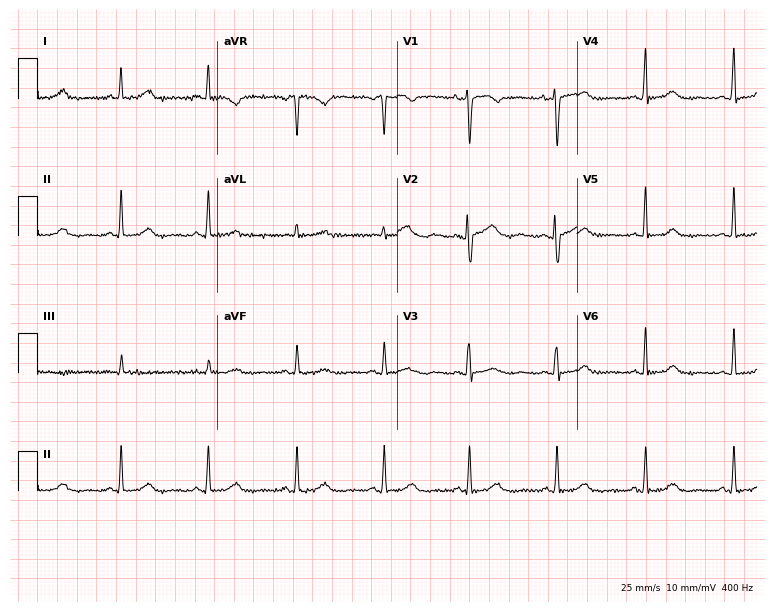
ECG (7.3-second recording at 400 Hz) — a 42-year-old female patient. Labelled as a normal ECG.